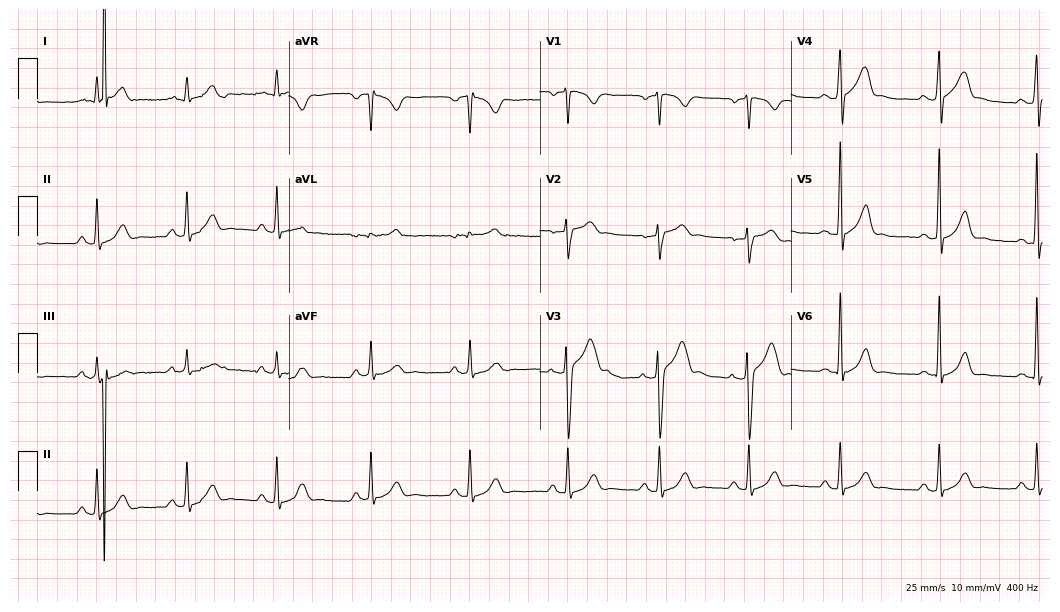
Resting 12-lead electrocardiogram (10.2-second recording at 400 Hz). Patient: a male, 26 years old. Read as a normal ECG.